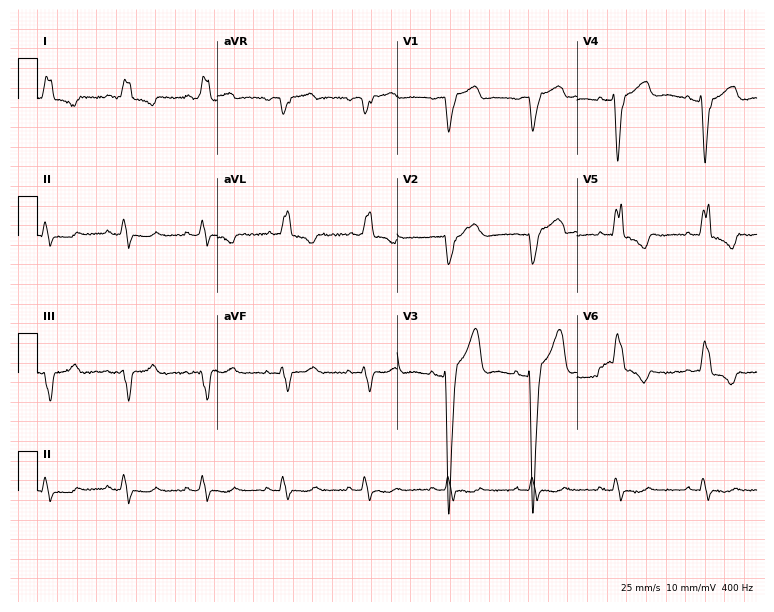
12-lead ECG (7.3-second recording at 400 Hz) from a female patient, 70 years old. Findings include left bundle branch block (LBBB).